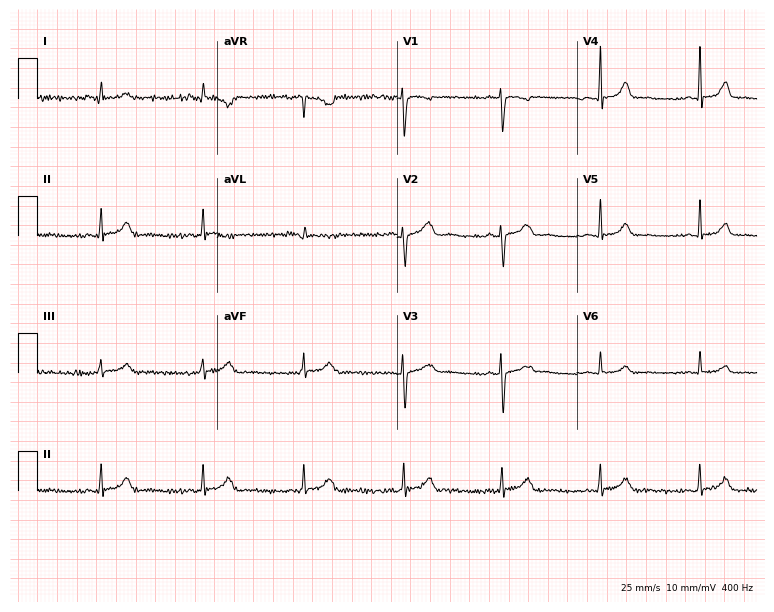
12-lead ECG (7.3-second recording at 400 Hz) from a 19-year-old female. Screened for six findings — first-degree AV block, right bundle branch block, left bundle branch block, sinus bradycardia, atrial fibrillation, sinus tachycardia — none is recorded.